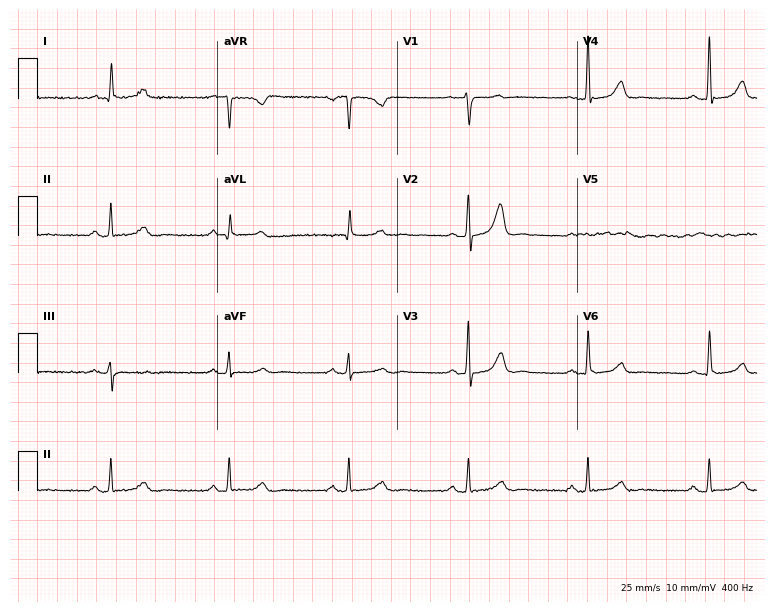
ECG (7.3-second recording at 400 Hz) — a male, 66 years old. Screened for six findings — first-degree AV block, right bundle branch block (RBBB), left bundle branch block (LBBB), sinus bradycardia, atrial fibrillation (AF), sinus tachycardia — none is recorded. Other findings, if any, are not listed.